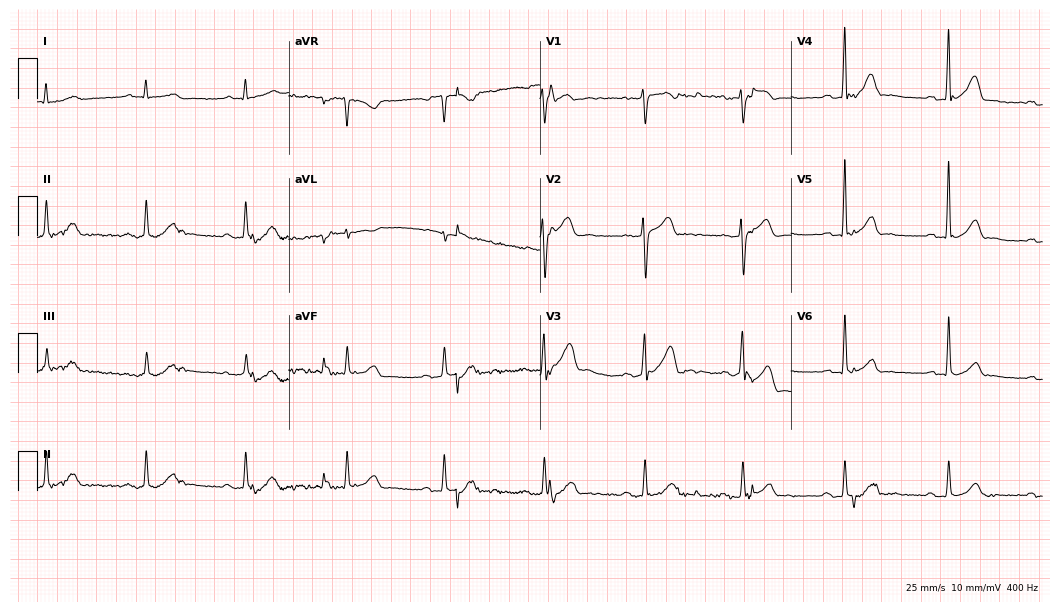
12-lead ECG from a man, 54 years old (10.2-second recording at 400 Hz). No first-degree AV block, right bundle branch block, left bundle branch block, sinus bradycardia, atrial fibrillation or sinus tachycardia recorded for this tracing.